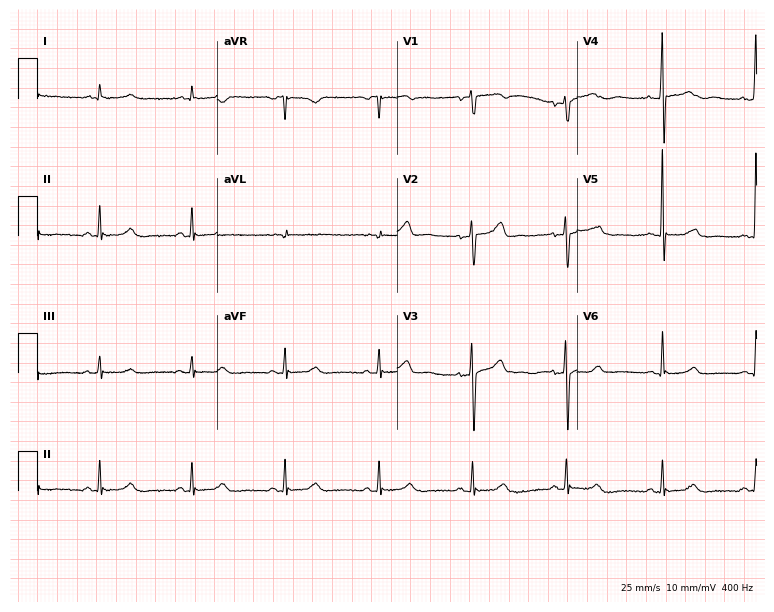
Standard 12-lead ECG recorded from a 67-year-old woman (7.3-second recording at 400 Hz). None of these six findings is recorded: first-degree AV block, right bundle branch block, left bundle branch block, sinus bradycardia, atrial fibrillation, sinus tachycardia. Findings outside these six are not listed.